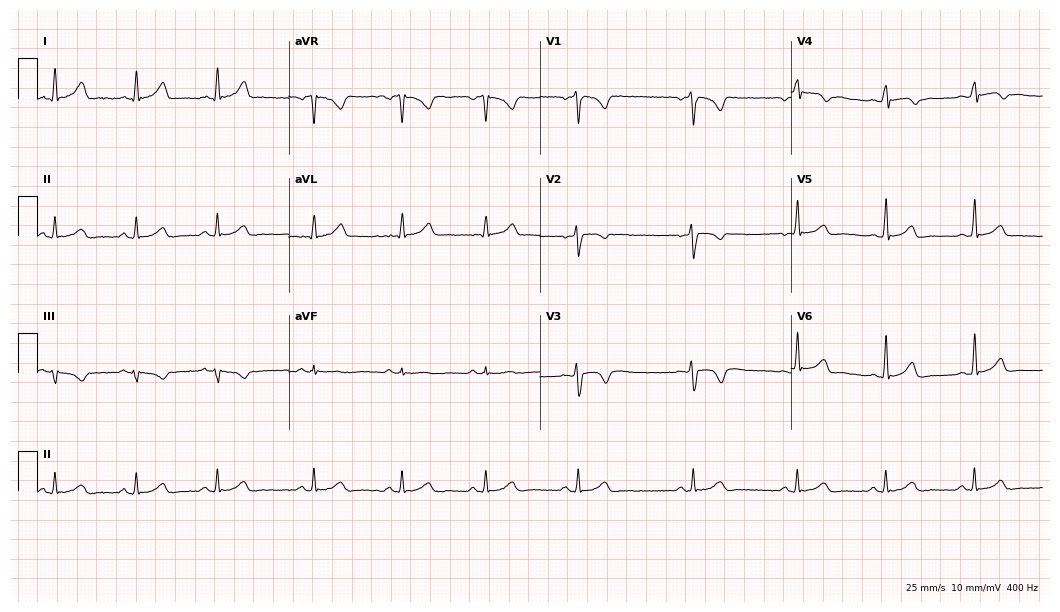
Resting 12-lead electrocardiogram (10.2-second recording at 400 Hz). Patient: a 19-year-old female. Read as a normal ECG.